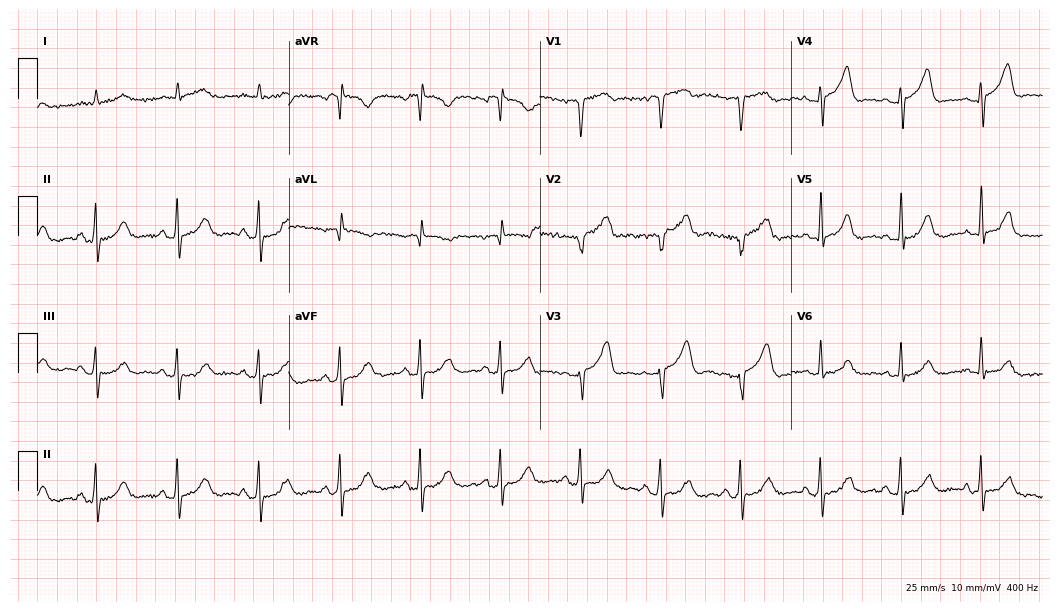
Electrocardiogram, a 72-year-old man. Overall reading on record: normal ECG.